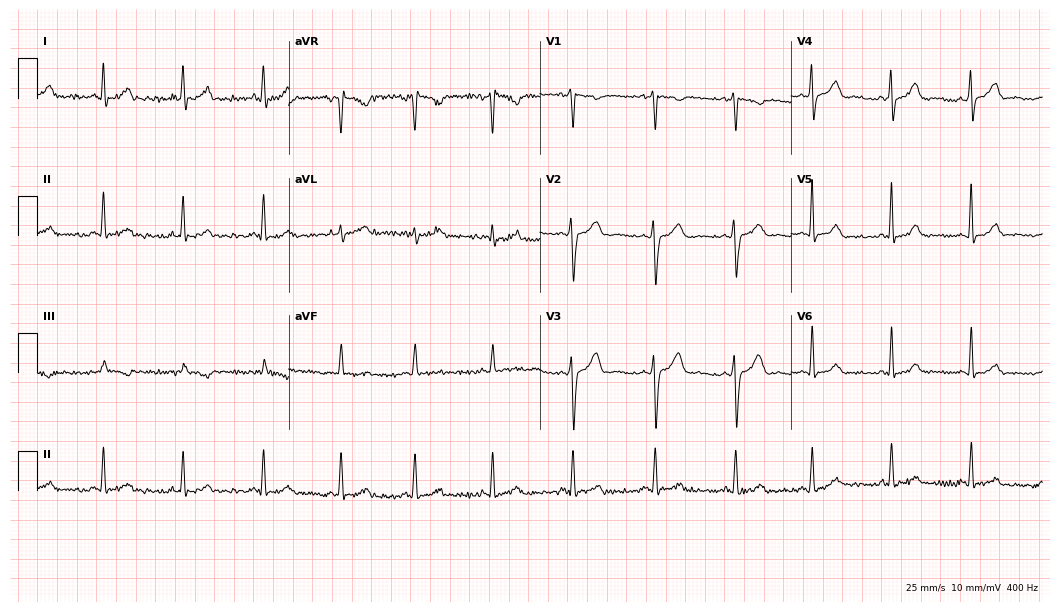
Electrocardiogram (10.2-second recording at 400 Hz), a 26-year-old female. Overall reading on record: normal ECG.